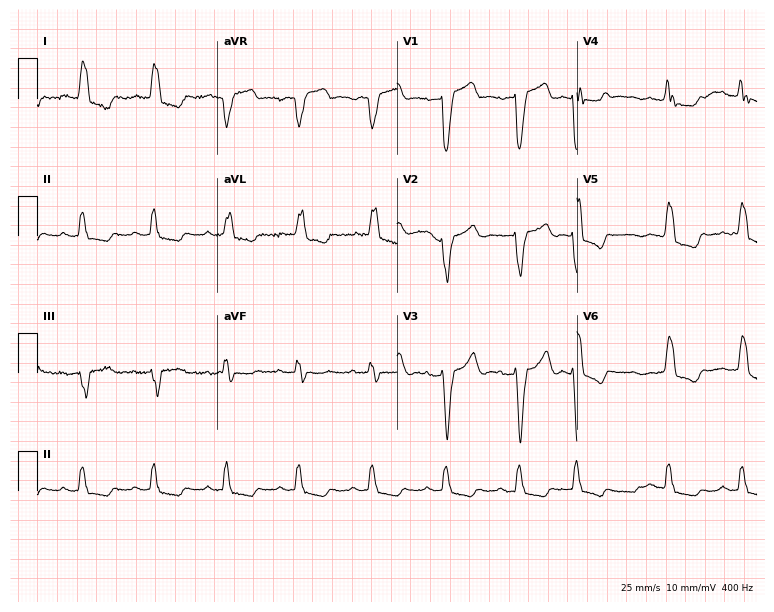
12-lead ECG (7.3-second recording at 400 Hz) from a 79-year-old male patient. Findings include left bundle branch block (LBBB).